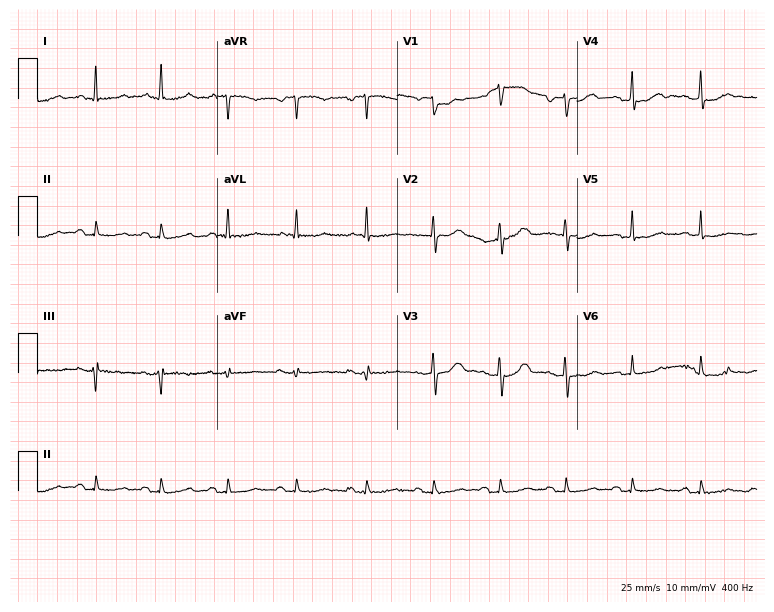
ECG (7.3-second recording at 400 Hz) — a 68-year-old female patient. Screened for six findings — first-degree AV block, right bundle branch block, left bundle branch block, sinus bradycardia, atrial fibrillation, sinus tachycardia — none is recorded.